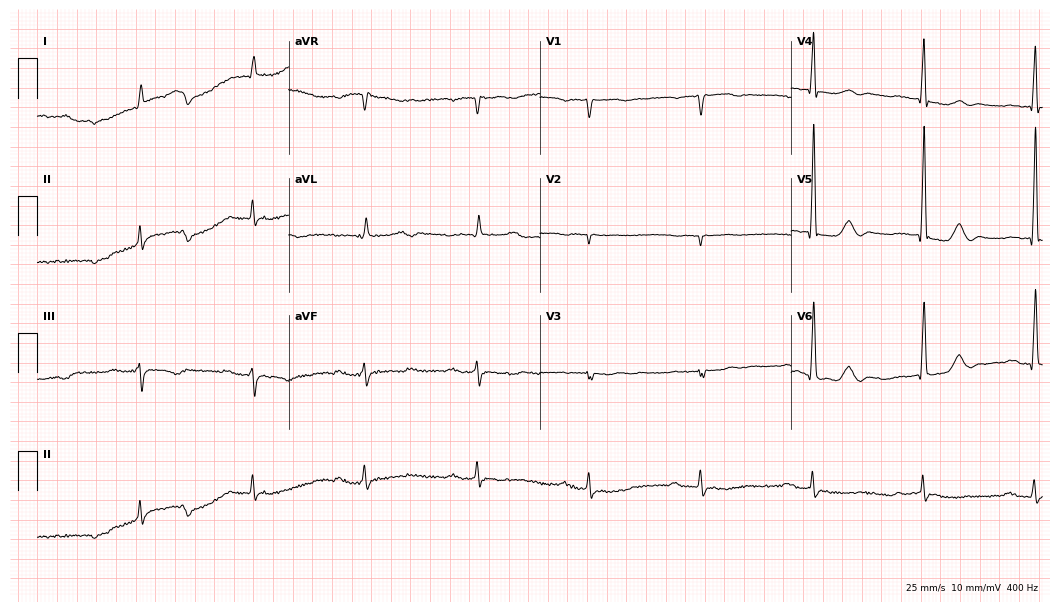
12-lead ECG from a man, 81 years old. Findings include first-degree AV block.